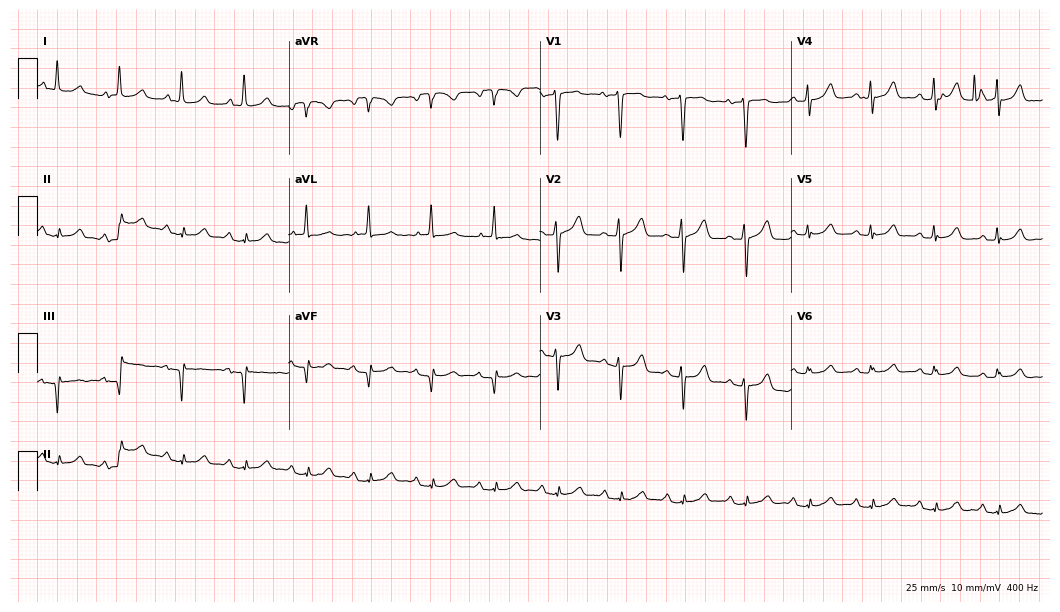
Resting 12-lead electrocardiogram. Patient: a 78-year-old female. Read as a normal ECG.